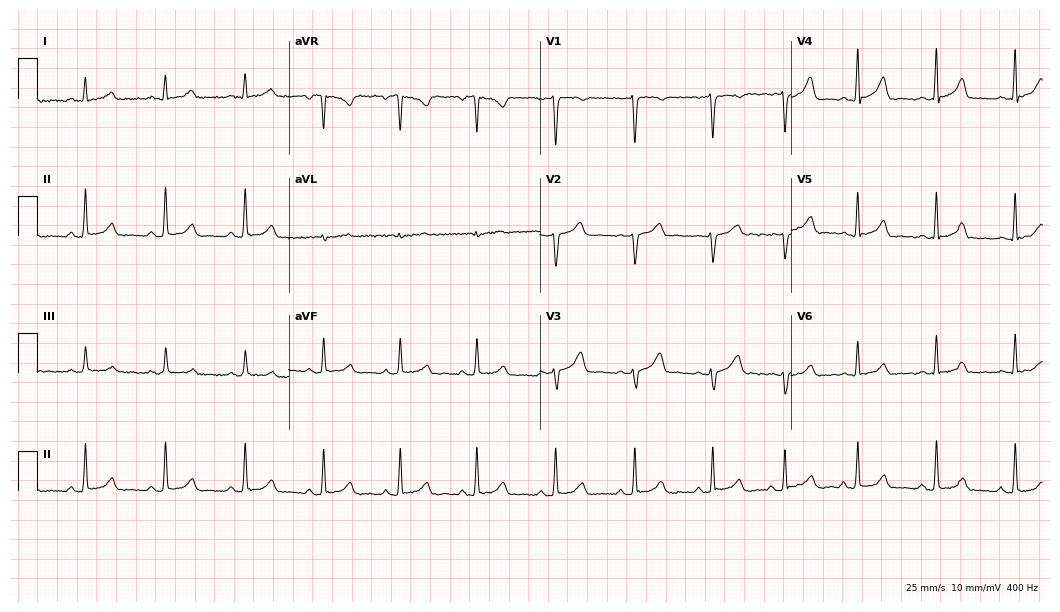
12-lead ECG (10.2-second recording at 400 Hz) from a female, 43 years old. Labelled as a normal ECG.